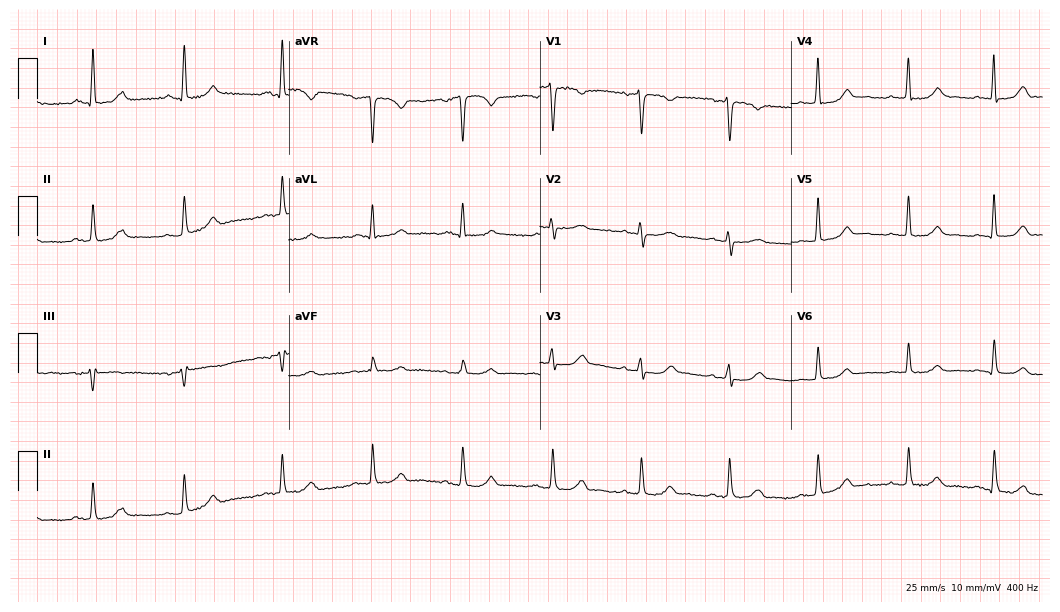
ECG (10.2-second recording at 400 Hz) — a 60-year-old female patient. Labelled as a normal ECG.